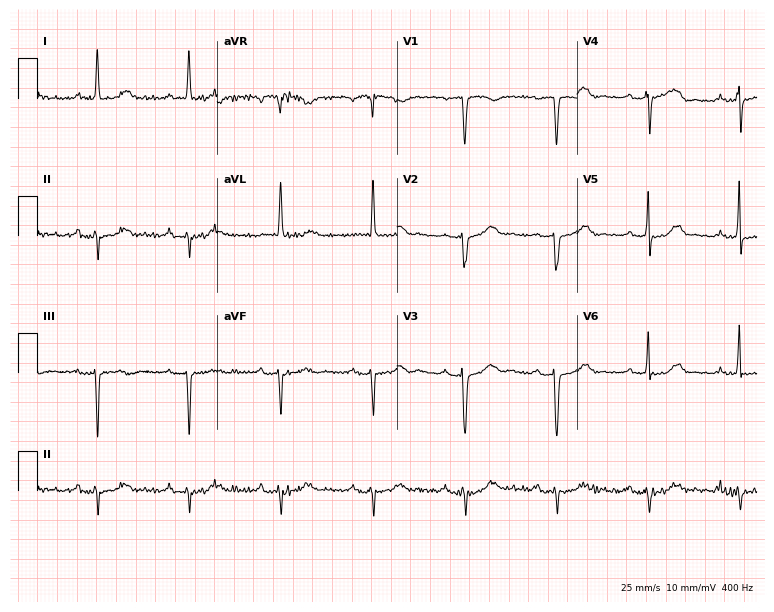
Electrocardiogram, a female, 76 years old. Of the six screened findings (first-degree AV block, right bundle branch block, left bundle branch block, sinus bradycardia, atrial fibrillation, sinus tachycardia), none is recorded.